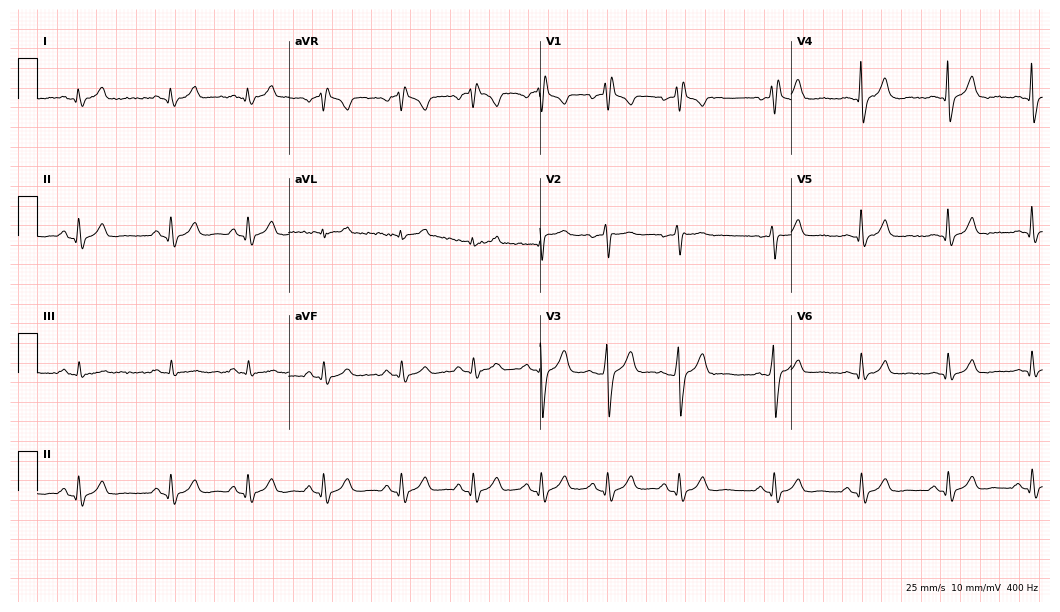
Resting 12-lead electrocardiogram (10.2-second recording at 400 Hz). Patient: a male, 49 years old. The tracing shows right bundle branch block (RBBB).